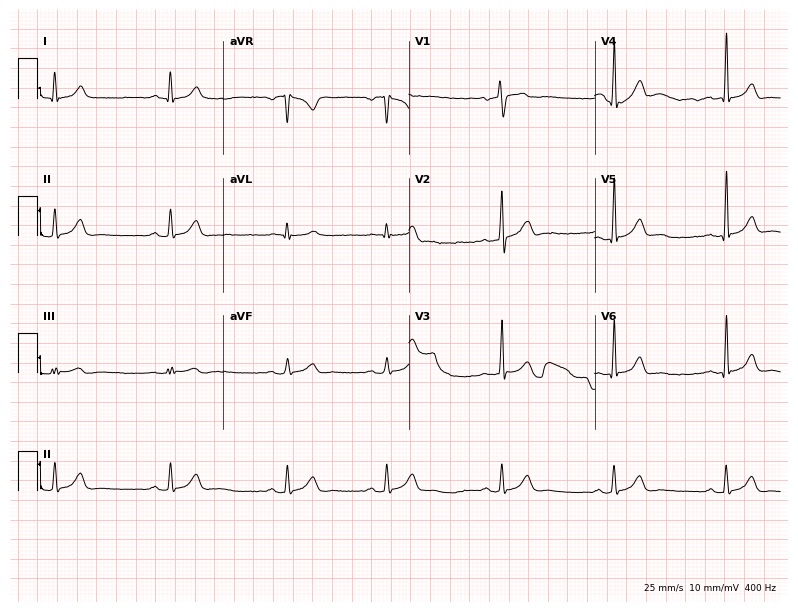
Resting 12-lead electrocardiogram. Patient: a 41-year-old male. Read as a normal ECG.